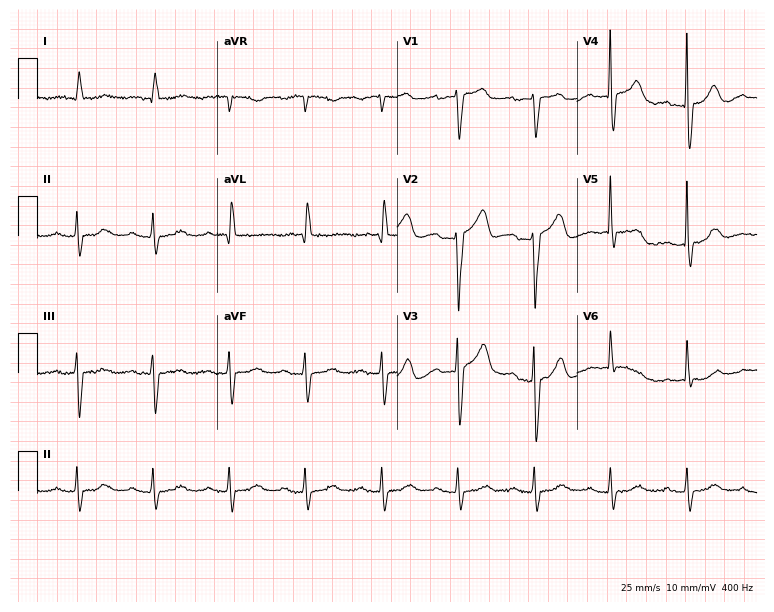
12-lead ECG (7.3-second recording at 400 Hz) from an 80-year-old female. Findings include first-degree AV block.